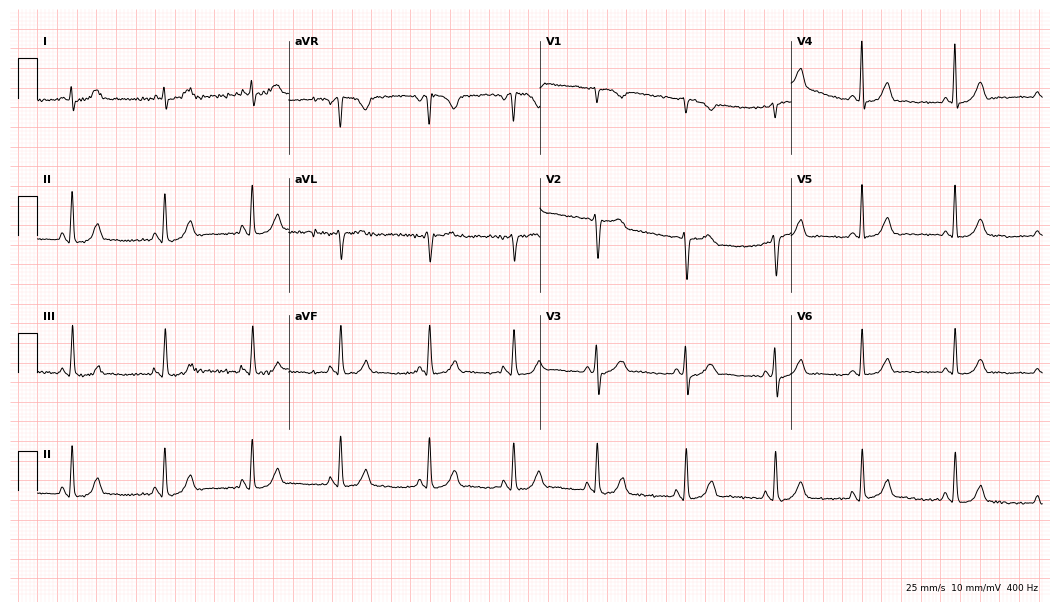
ECG (10.2-second recording at 400 Hz) — a 50-year-old woman. Screened for six findings — first-degree AV block, right bundle branch block (RBBB), left bundle branch block (LBBB), sinus bradycardia, atrial fibrillation (AF), sinus tachycardia — none is recorded. Only these six findings were labelled.